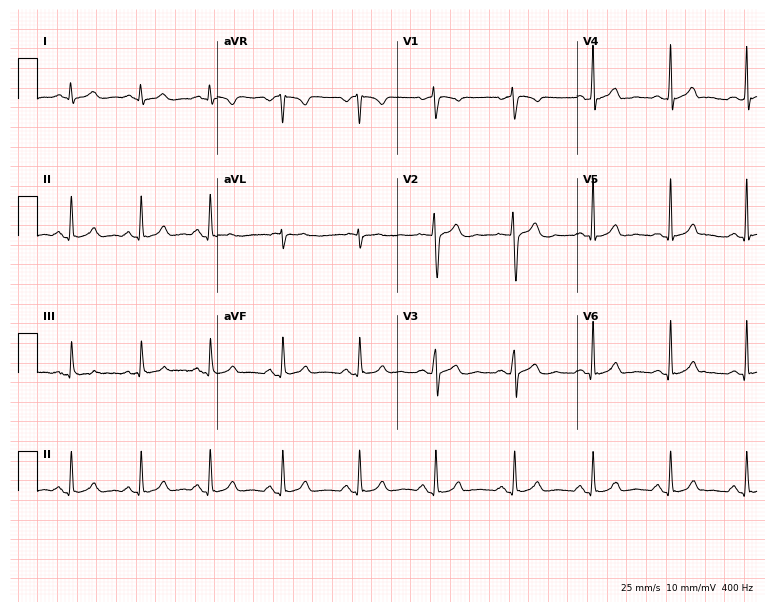
Standard 12-lead ECG recorded from a 24-year-old male (7.3-second recording at 400 Hz). Read as a normal ECG.